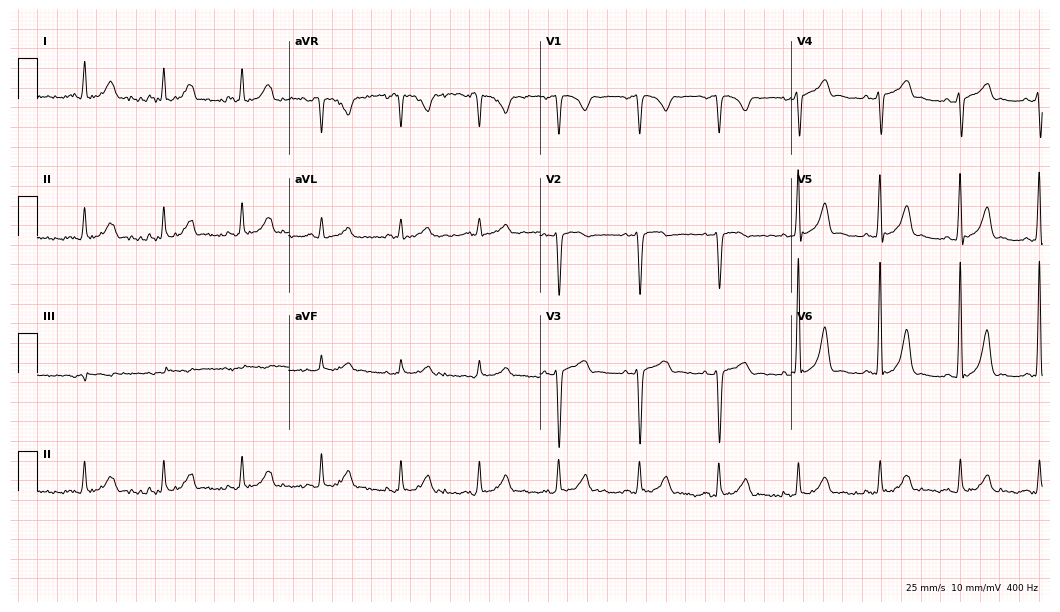
Electrocardiogram (10.2-second recording at 400 Hz), a male patient, 36 years old. Of the six screened findings (first-degree AV block, right bundle branch block (RBBB), left bundle branch block (LBBB), sinus bradycardia, atrial fibrillation (AF), sinus tachycardia), none is recorded.